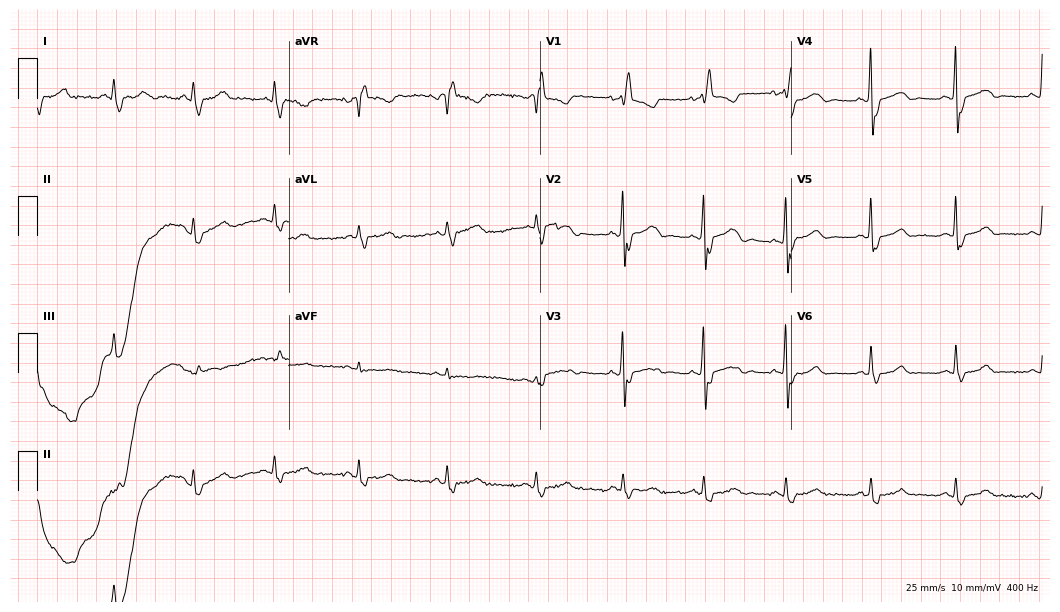
ECG — a 28-year-old female patient. Findings include right bundle branch block (RBBB).